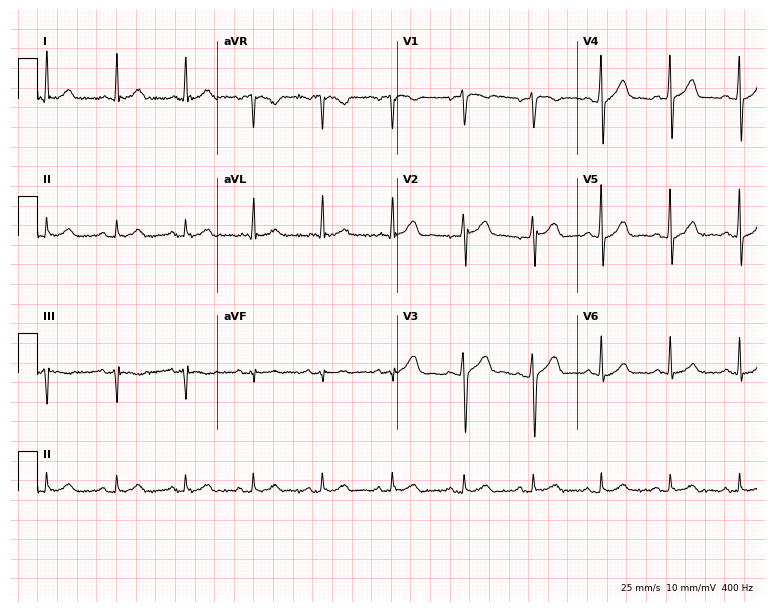
12-lead ECG from a man, 50 years old. Recorded interpretation: within normal limits.